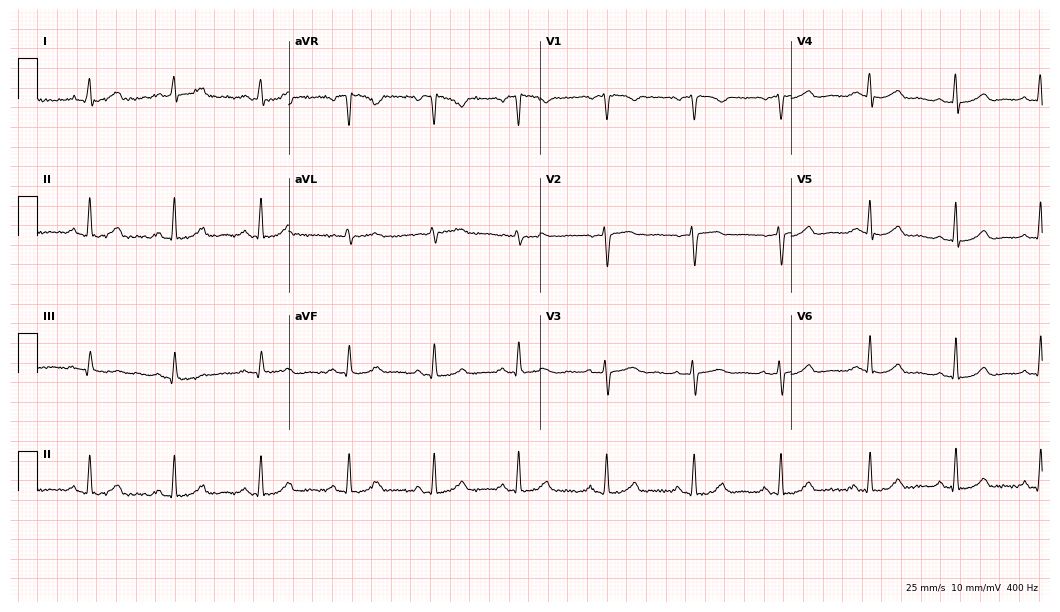
ECG (10.2-second recording at 400 Hz) — a female patient, 52 years old. Labelled as a normal ECG.